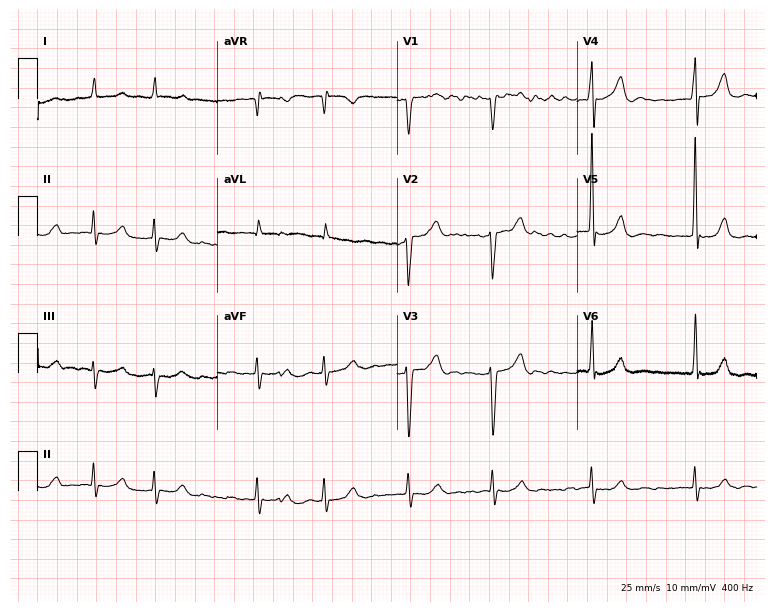
12-lead ECG from a man, 81 years old. Findings include atrial fibrillation (AF).